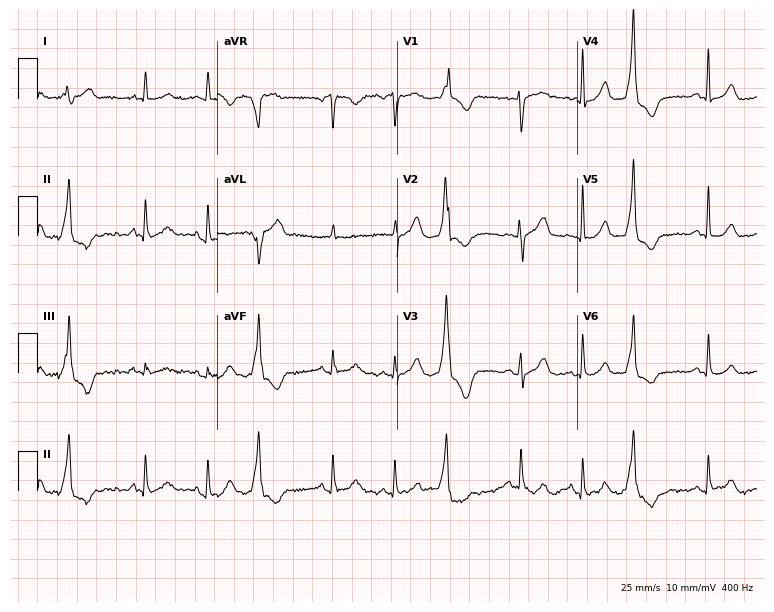
12-lead ECG from a female patient, 74 years old. No first-degree AV block, right bundle branch block, left bundle branch block, sinus bradycardia, atrial fibrillation or sinus tachycardia recorded for this tracing. Other findings, if any, are not listed.